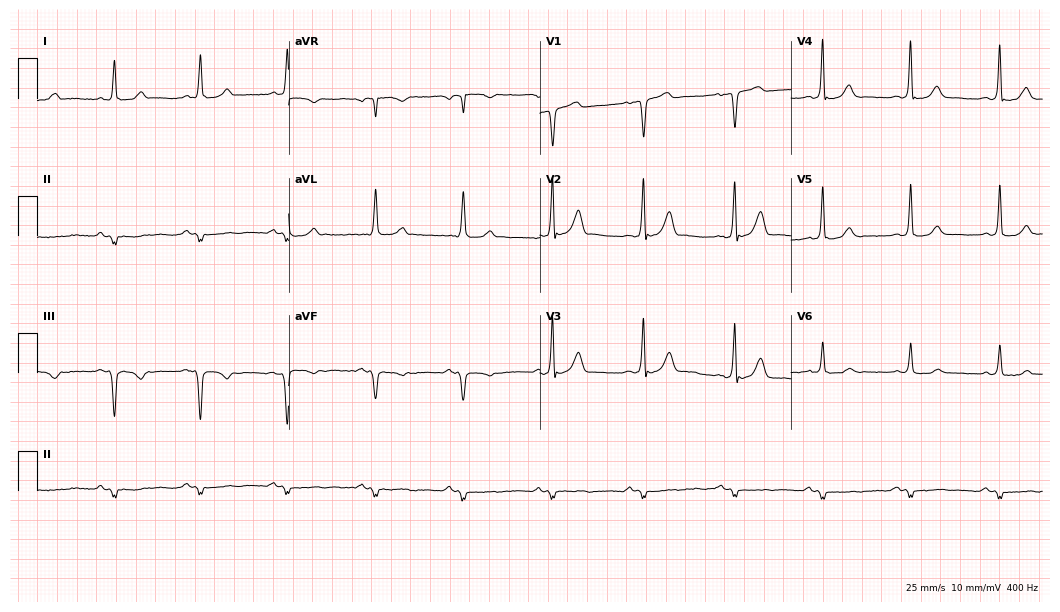
Resting 12-lead electrocardiogram (10.2-second recording at 400 Hz). Patient: a 46-year-old man. None of these six findings is recorded: first-degree AV block, right bundle branch block, left bundle branch block, sinus bradycardia, atrial fibrillation, sinus tachycardia. Only these six findings were labelled.